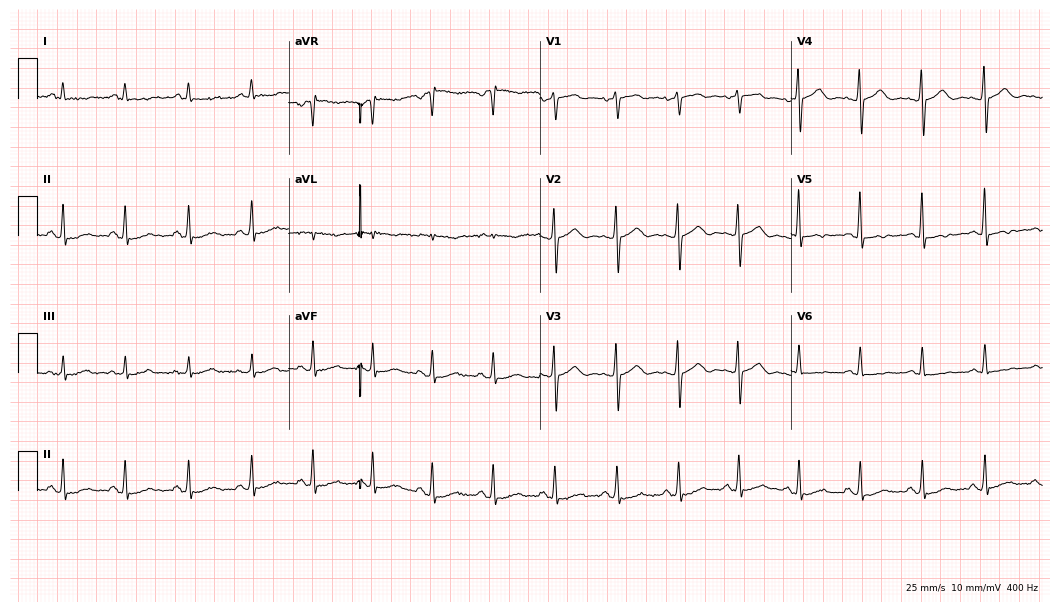
Resting 12-lead electrocardiogram (10.2-second recording at 400 Hz). Patient: a 61-year-old female. None of these six findings is recorded: first-degree AV block, right bundle branch block, left bundle branch block, sinus bradycardia, atrial fibrillation, sinus tachycardia.